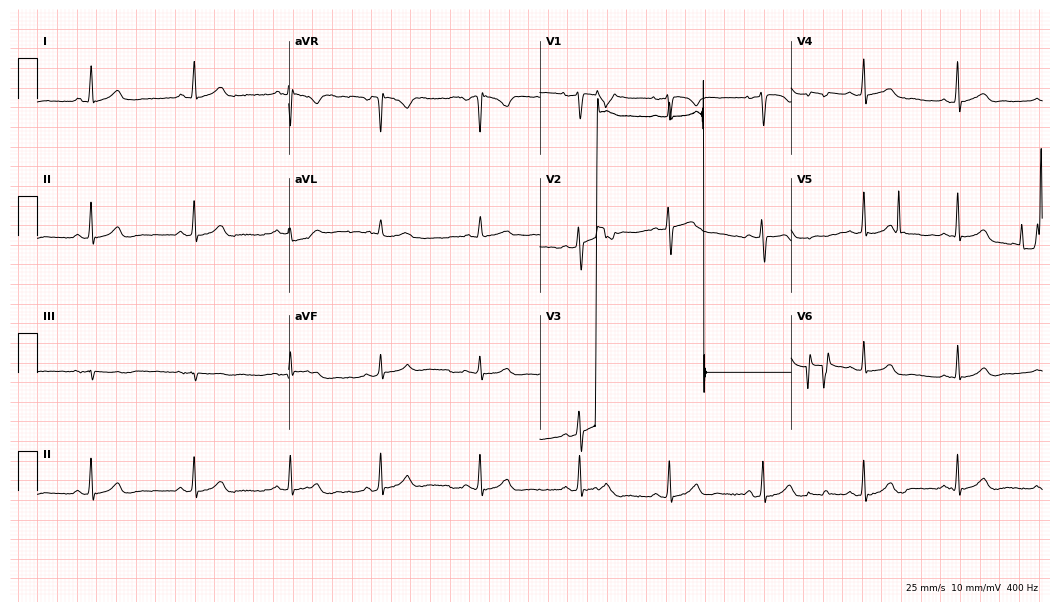
Standard 12-lead ECG recorded from a 22-year-old female (10.2-second recording at 400 Hz). Read as a normal ECG.